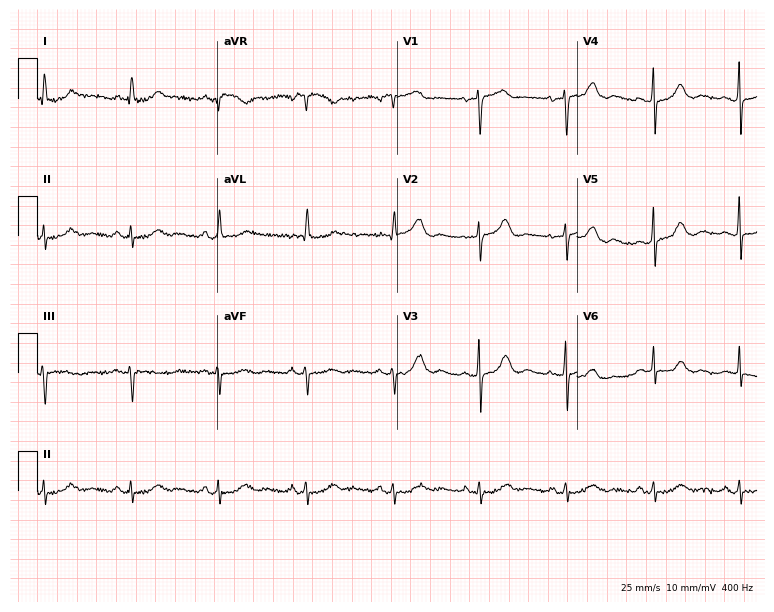
12-lead ECG from an 82-year-old female patient. Recorded interpretation: within normal limits.